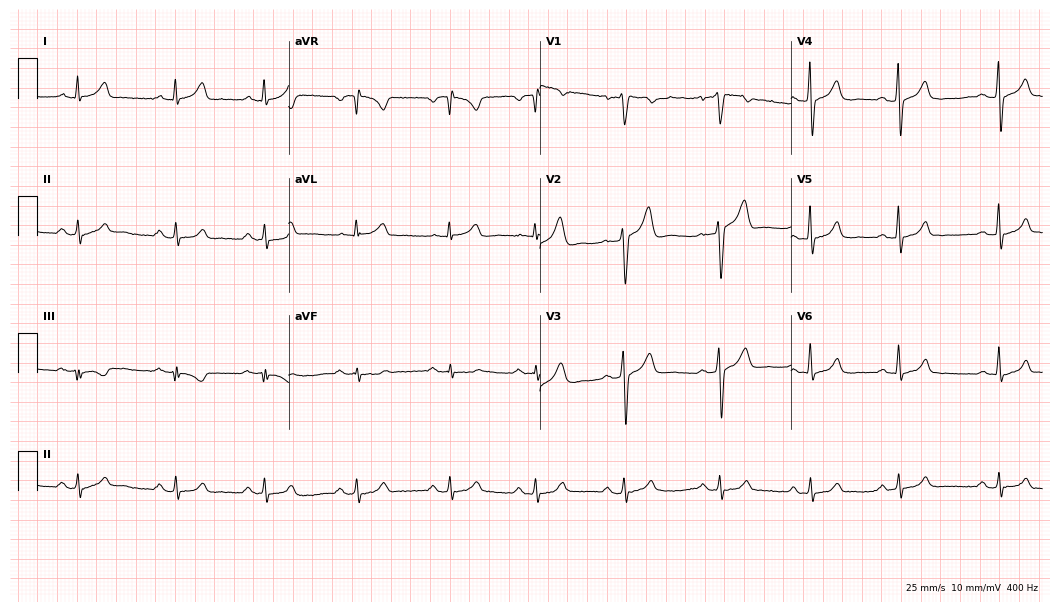
Electrocardiogram (10.2-second recording at 400 Hz), a man, 42 years old. Overall reading on record: normal ECG.